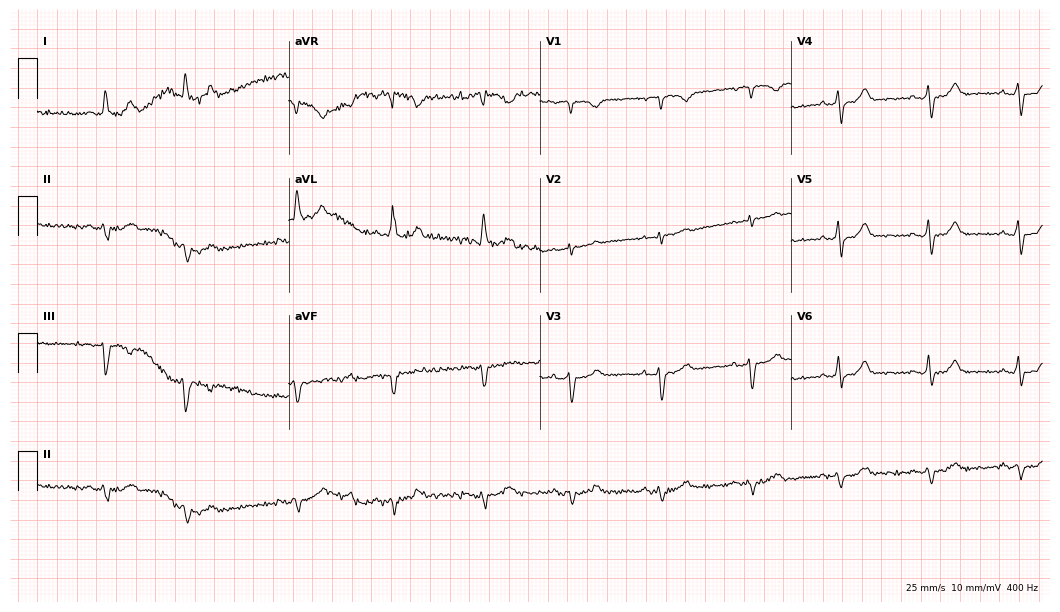
ECG — a woman, 69 years old. Screened for six findings — first-degree AV block, right bundle branch block (RBBB), left bundle branch block (LBBB), sinus bradycardia, atrial fibrillation (AF), sinus tachycardia — none is recorded. Only these six findings were labelled.